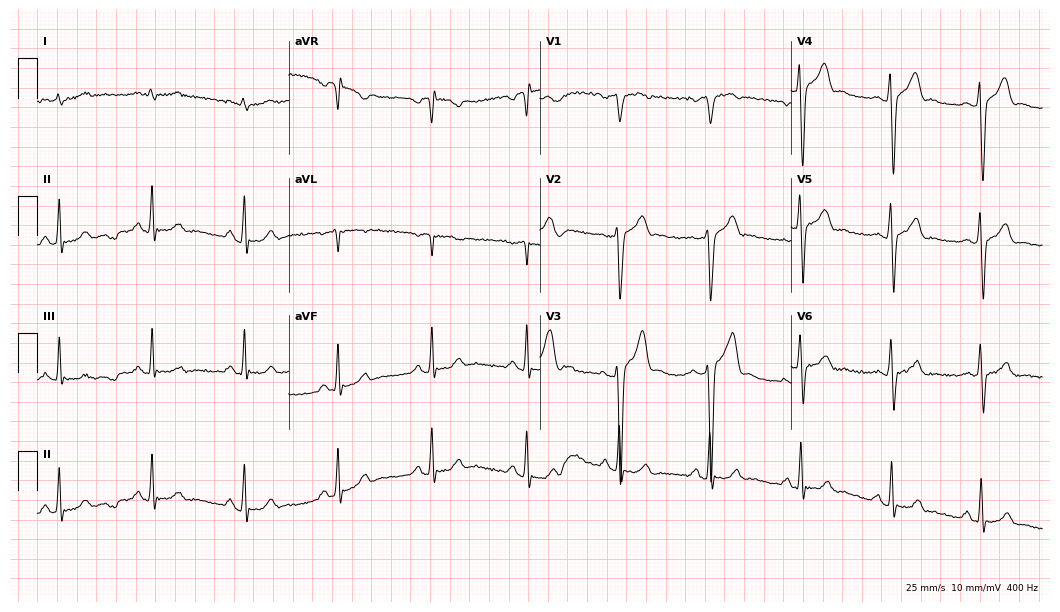
Electrocardiogram (10.2-second recording at 400 Hz), a 60-year-old male patient. Of the six screened findings (first-degree AV block, right bundle branch block (RBBB), left bundle branch block (LBBB), sinus bradycardia, atrial fibrillation (AF), sinus tachycardia), none is recorded.